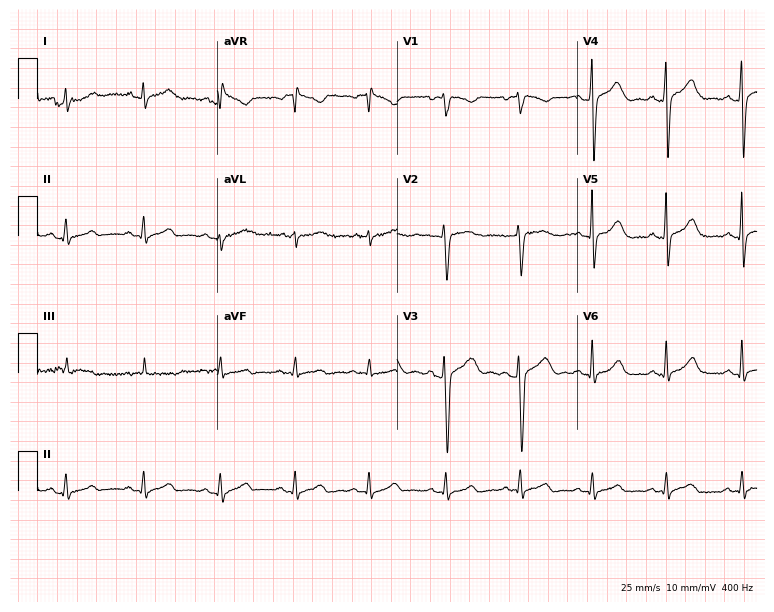
Standard 12-lead ECG recorded from a woman, 34 years old. Read as a normal ECG.